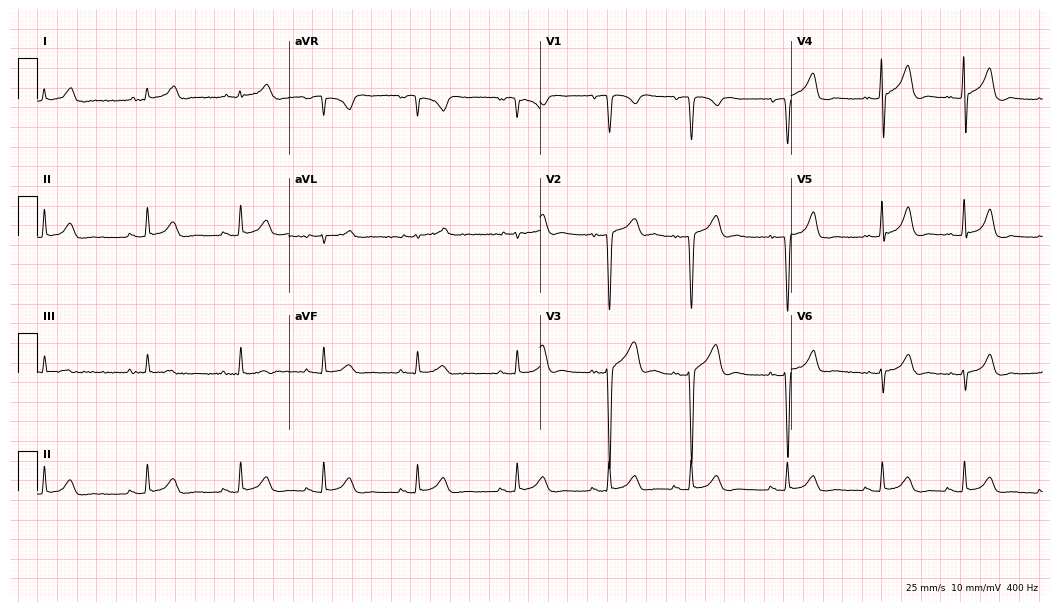
ECG (10.2-second recording at 400 Hz) — a female patient, 37 years old. Labelled as a normal ECG.